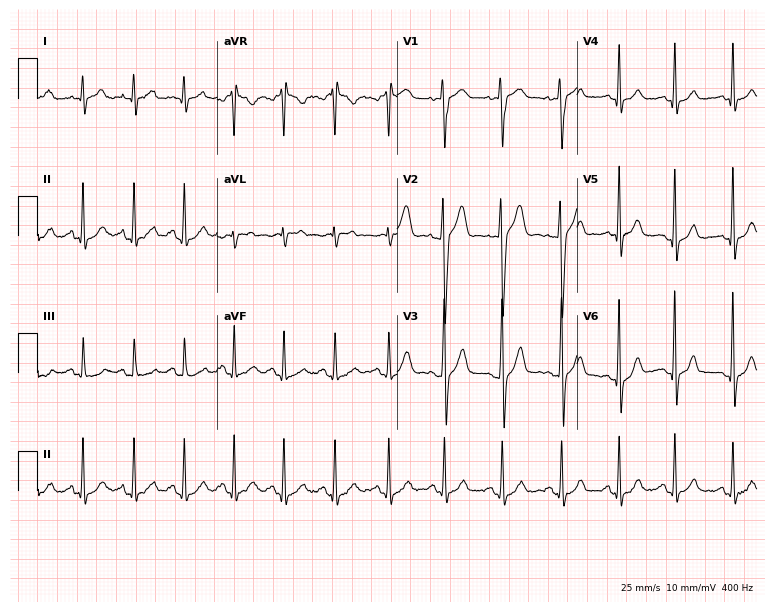
Resting 12-lead electrocardiogram (7.3-second recording at 400 Hz). Patient: a 19-year-old male. The tracing shows sinus tachycardia (a sinus rate of 100 beats per minute or more).